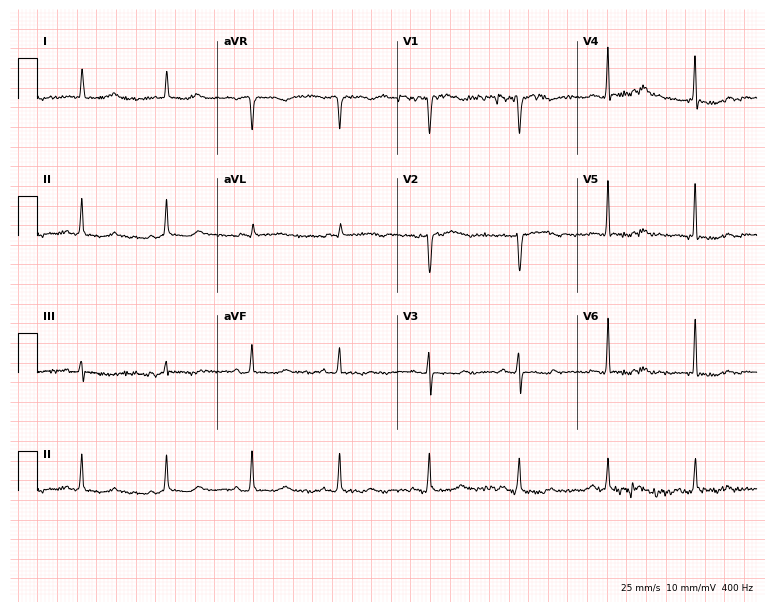
12-lead ECG from a 72-year-old female. Screened for six findings — first-degree AV block, right bundle branch block, left bundle branch block, sinus bradycardia, atrial fibrillation, sinus tachycardia — none is recorded.